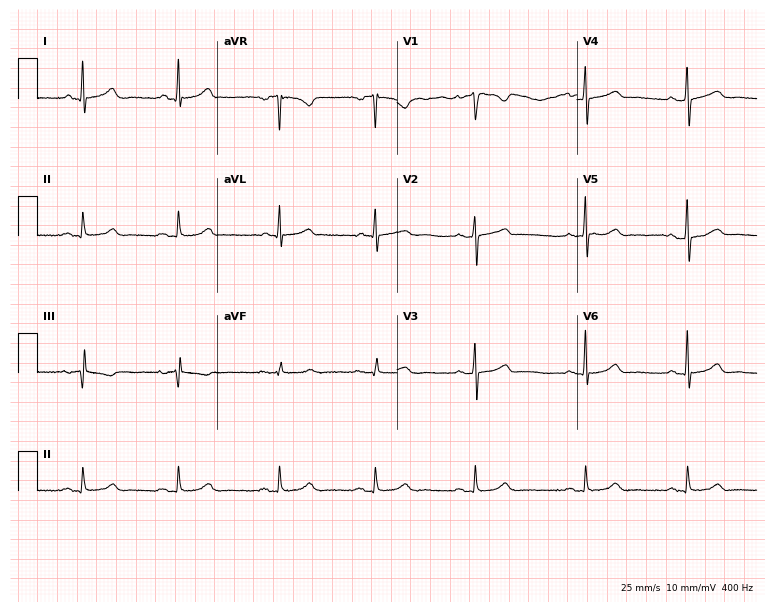
ECG (7.3-second recording at 400 Hz) — a female patient, 49 years old. Labelled as a normal ECG.